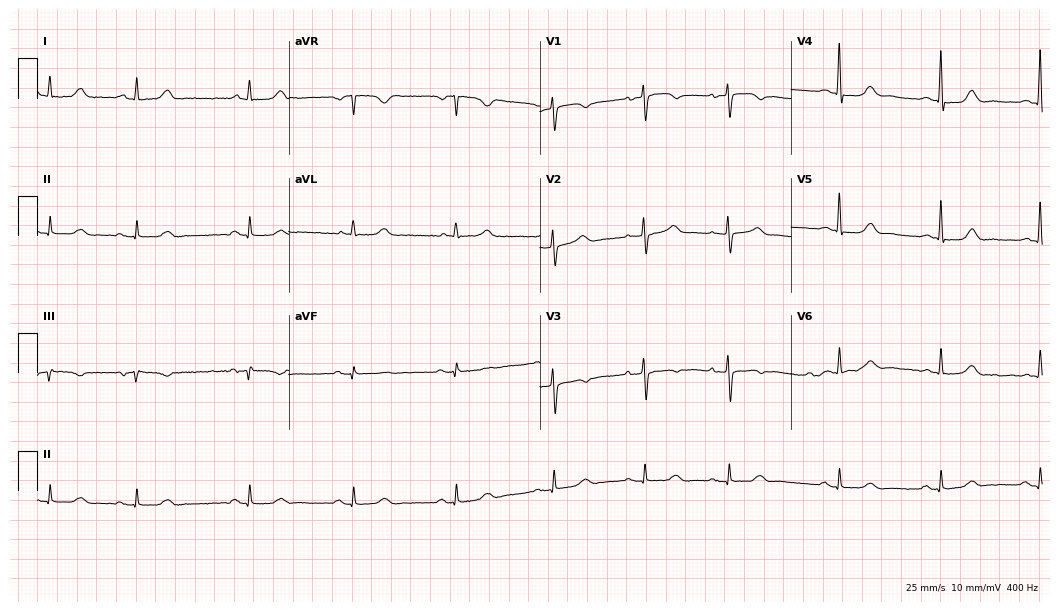
ECG — a female, 83 years old. Screened for six findings — first-degree AV block, right bundle branch block, left bundle branch block, sinus bradycardia, atrial fibrillation, sinus tachycardia — none is recorded.